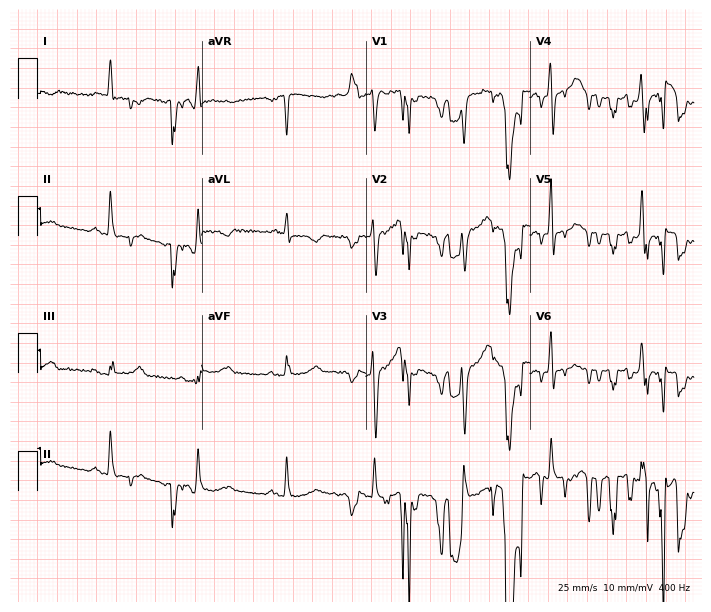
Resting 12-lead electrocardiogram. Patient: a 69-year-old male. None of these six findings is recorded: first-degree AV block, right bundle branch block (RBBB), left bundle branch block (LBBB), sinus bradycardia, atrial fibrillation (AF), sinus tachycardia. Findings outside these six are not listed.